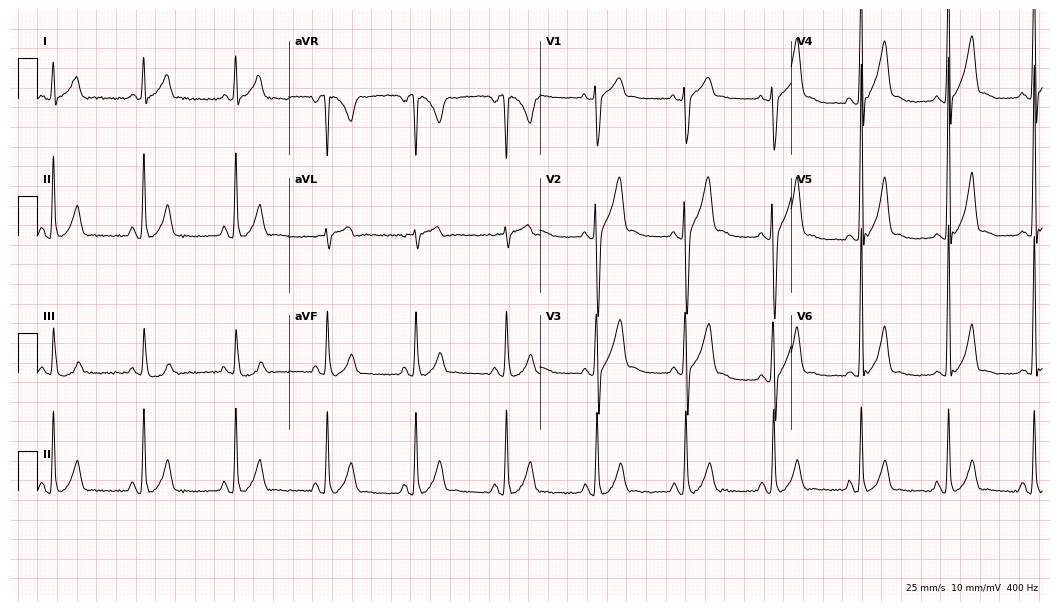
Resting 12-lead electrocardiogram (10.2-second recording at 400 Hz). Patient: a 30-year-old female. None of these six findings is recorded: first-degree AV block, right bundle branch block, left bundle branch block, sinus bradycardia, atrial fibrillation, sinus tachycardia.